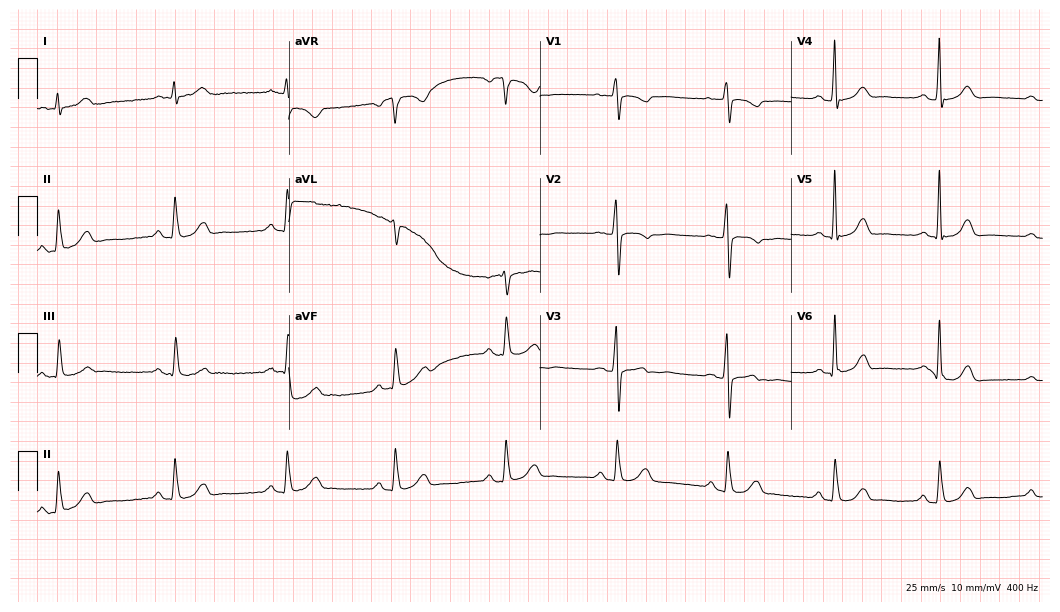
12-lead ECG from a 56-year-old woman. Screened for six findings — first-degree AV block, right bundle branch block, left bundle branch block, sinus bradycardia, atrial fibrillation, sinus tachycardia — none is recorded. Only these six findings were labelled.